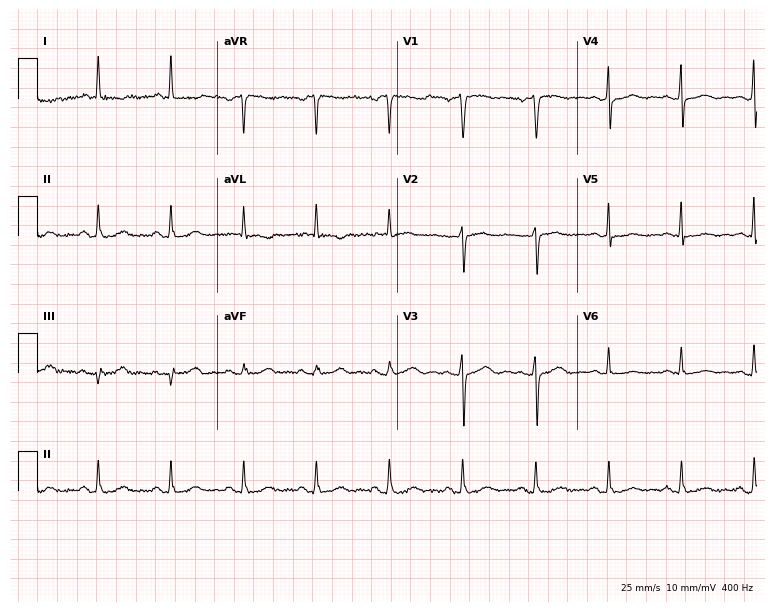
12-lead ECG from a 44-year-old woman (7.3-second recording at 400 Hz). No first-degree AV block, right bundle branch block (RBBB), left bundle branch block (LBBB), sinus bradycardia, atrial fibrillation (AF) or sinus tachycardia recorded for this tracing. Findings outside these six are not listed.